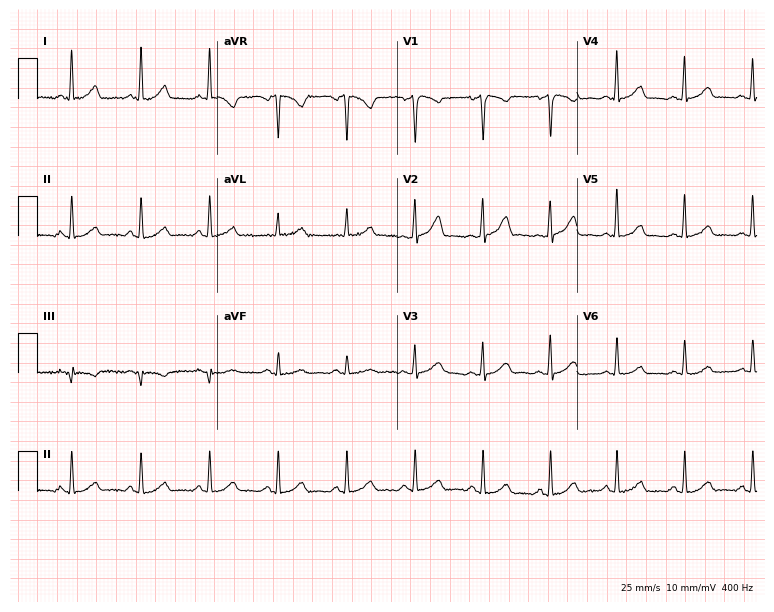
12-lead ECG from a 51-year-old woman (7.3-second recording at 400 Hz). Recorded interpretation: within normal limits.